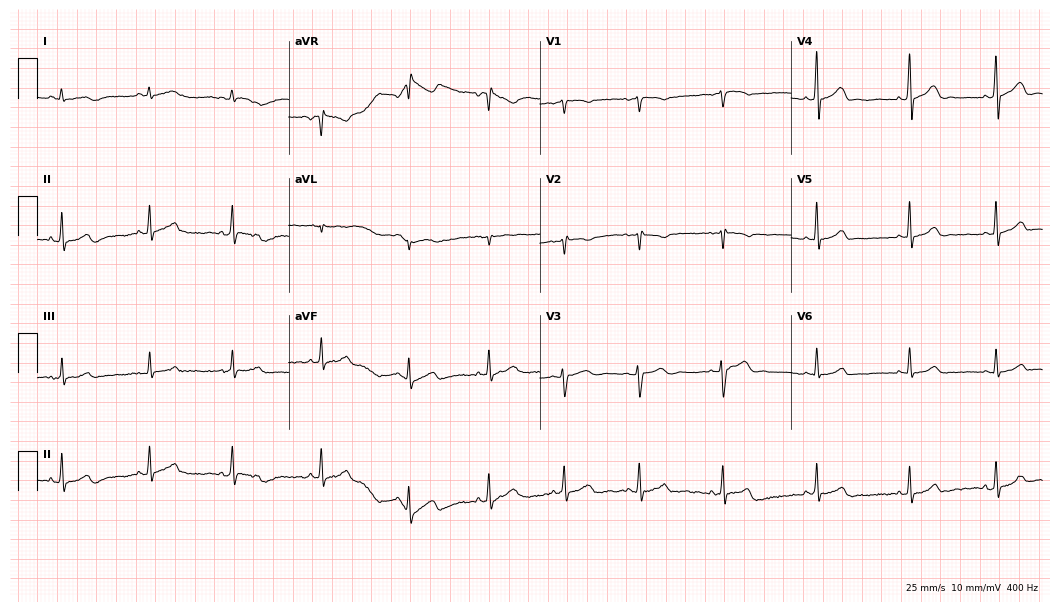
12-lead ECG from a 25-year-old female. Labelled as a normal ECG.